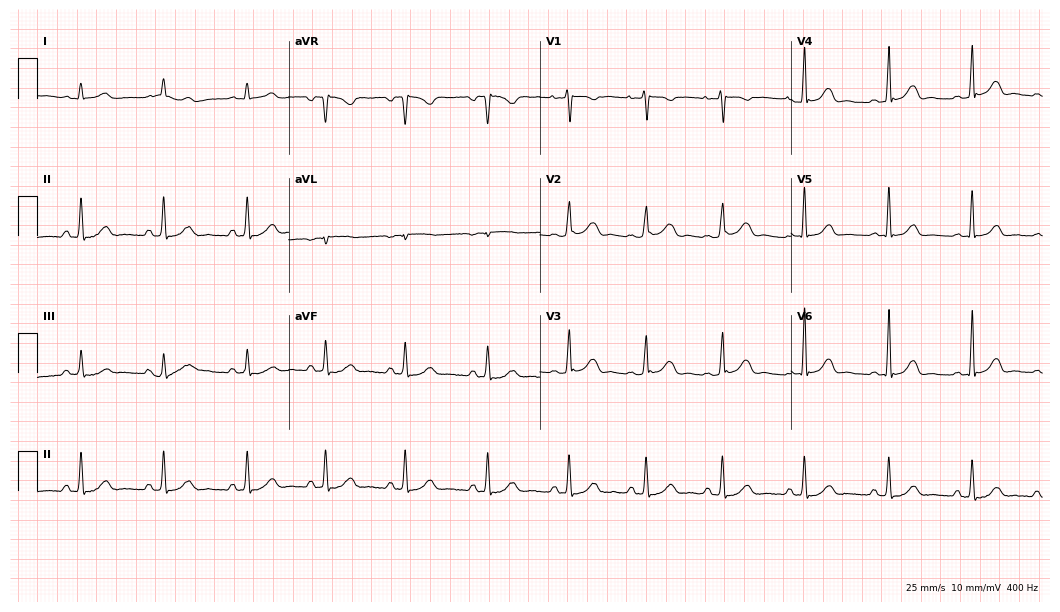
Electrocardiogram (10.2-second recording at 400 Hz), a 30-year-old female. Overall reading on record: normal ECG.